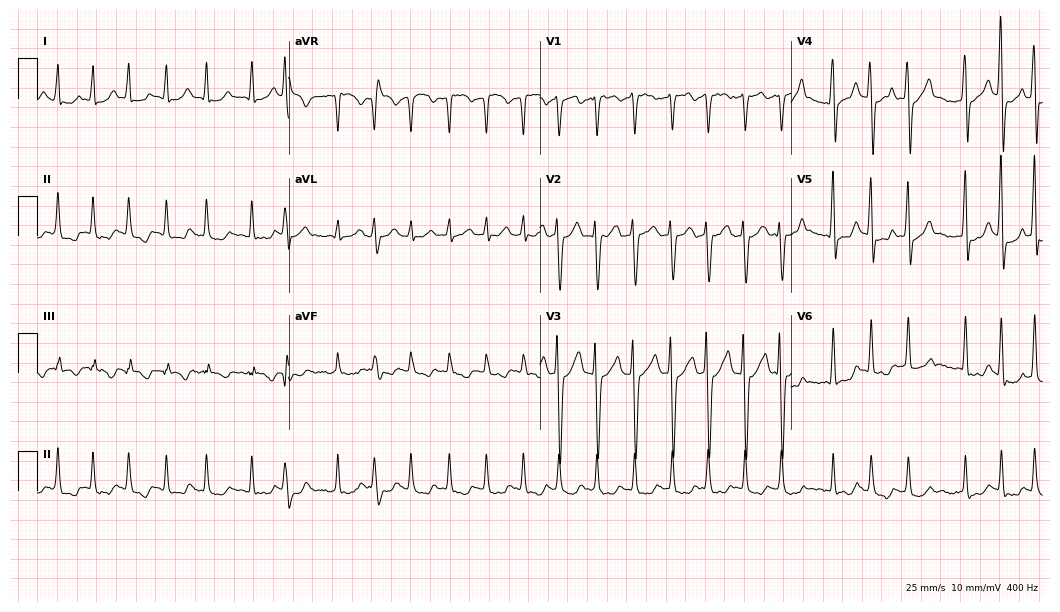
12-lead ECG from a 39-year-old male patient (10.2-second recording at 400 Hz). Shows atrial fibrillation.